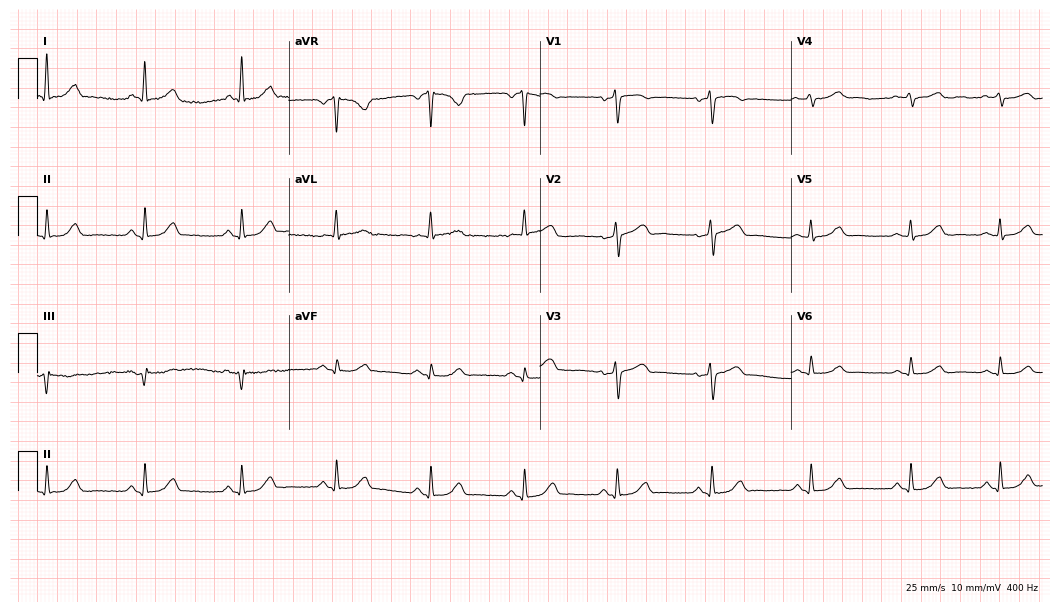
12-lead ECG (10.2-second recording at 400 Hz) from a female, 61 years old. Labelled as a normal ECG.